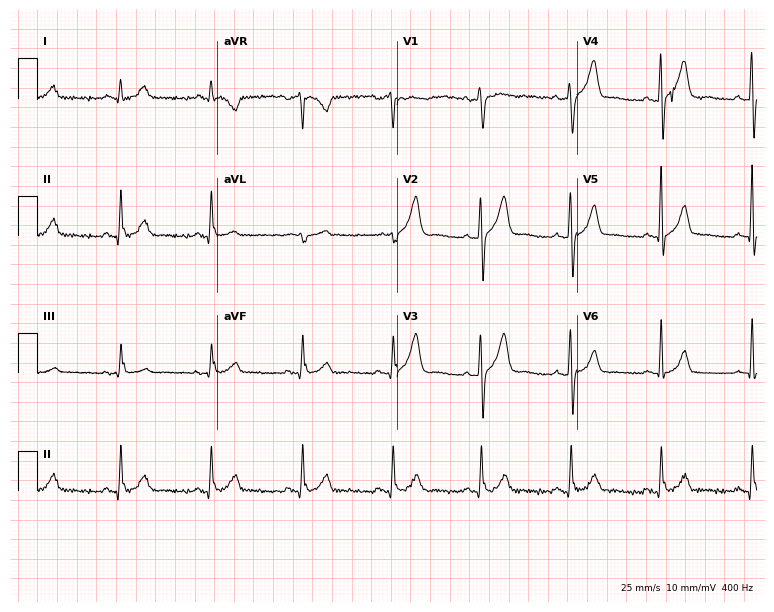
12-lead ECG from a male patient, 47 years old. No first-degree AV block, right bundle branch block (RBBB), left bundle branch block (LBBB), sinus bradycardia, atrial fibrillation (AF) or sinus tachycardia recorded for this tracing.